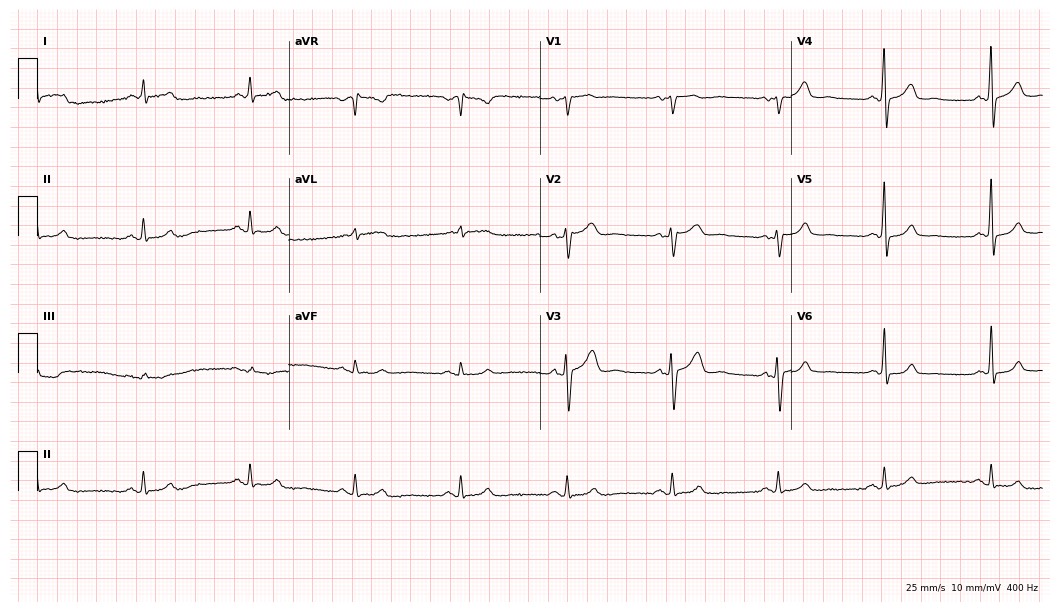
12-lead ECG from a 57-year-old male. Labelled as a normal ECG.